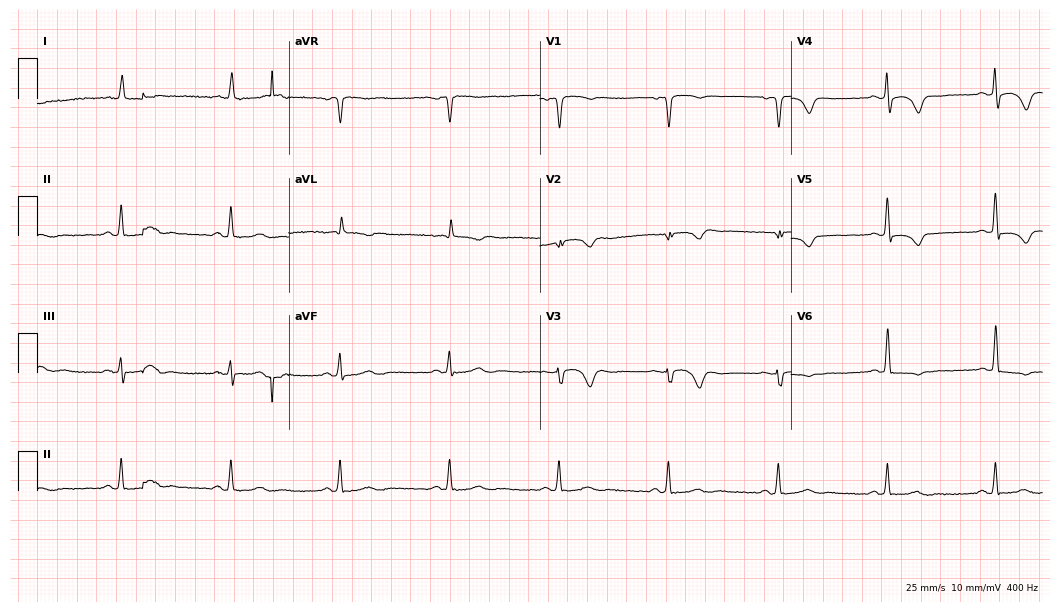
Resting 12-lead electrocardiogram (10.2-second recording at 400 Hz). Patient: a 75-year-old male. None of these six findings is recorded: first-degree AV block, right bundle branch block (RBBB), left bundle branch block (LBBB), sinus bradycardia, atrial fibrillation (AF), sinus tachycardia.